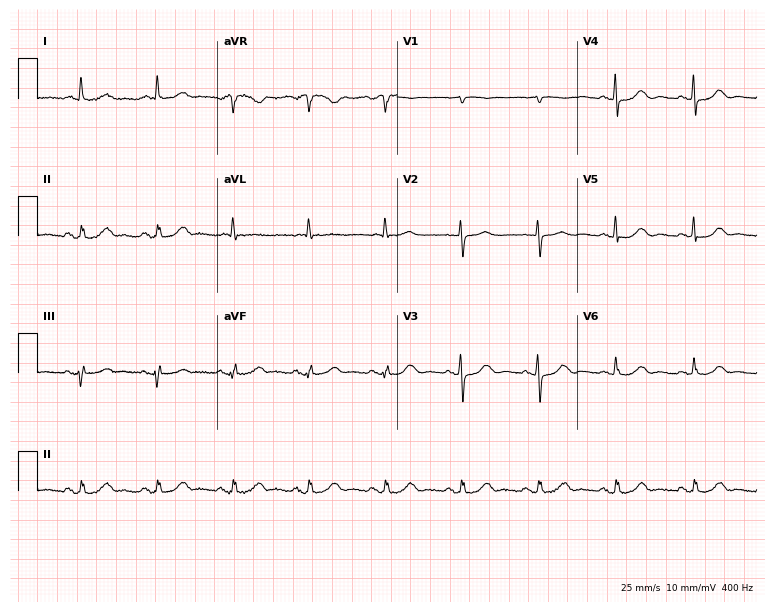
ECG (7.3-second recording at 400 Hz) — a female, 76 years old. Labelled as a normal ECG.